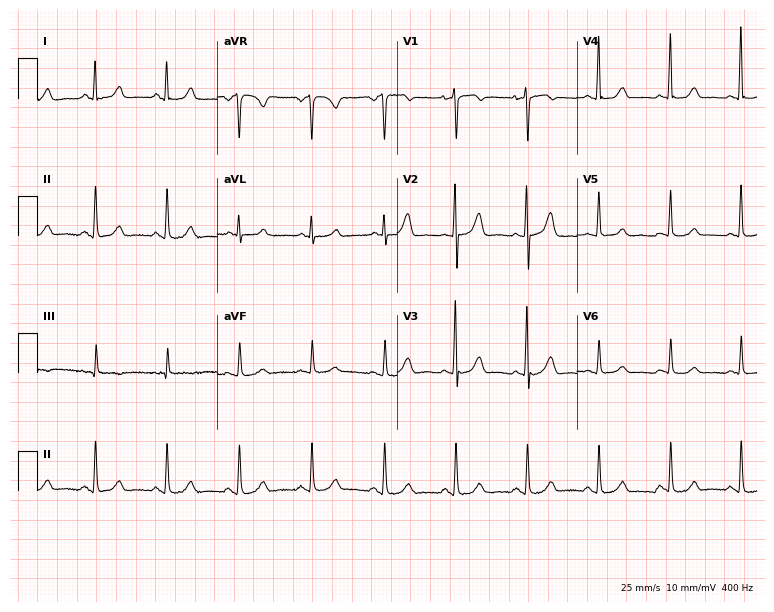
12-lead ECG (7.3-second recording at 400 Hz) from a female patient, 48 years old. Labelled as a normal ECG.